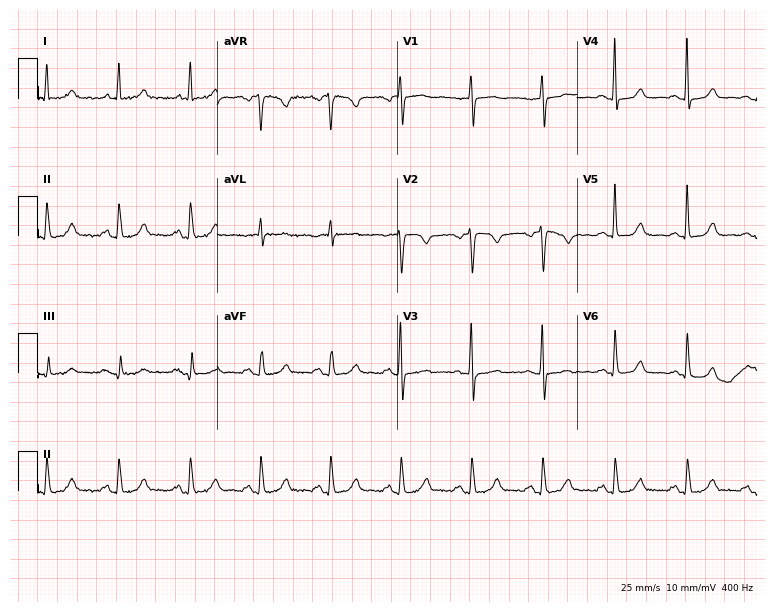
12-lead ECG from a 59-year-old woman. Screened for six findings — first-degree AV block, right bundle branch block (RBBB), left bundle branch block (LBBB), sinus bradycardia, atrial fibrillation (AF), sinus tachycardia — none is recorded. Other findings, if any, are not listed.